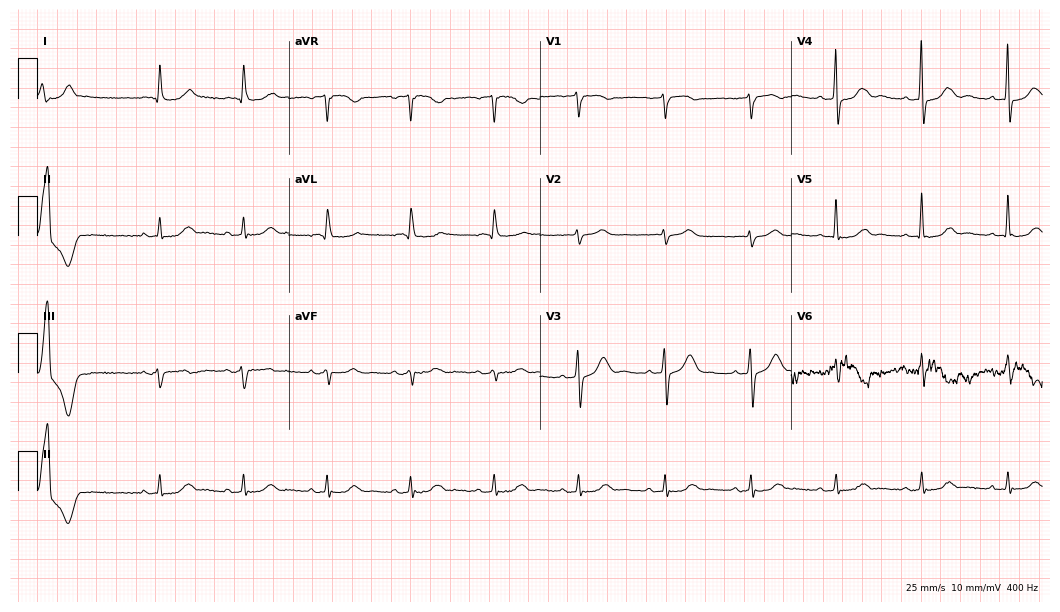
Resting 12-lead electrocardiogram. Patient: a woman, 81 years old. None of these six findings is recorded: first-degree AV block, right bundle branch block, left bundle branch block, sinus bradycardia, atrial fibrillation, sinus tachycardia.